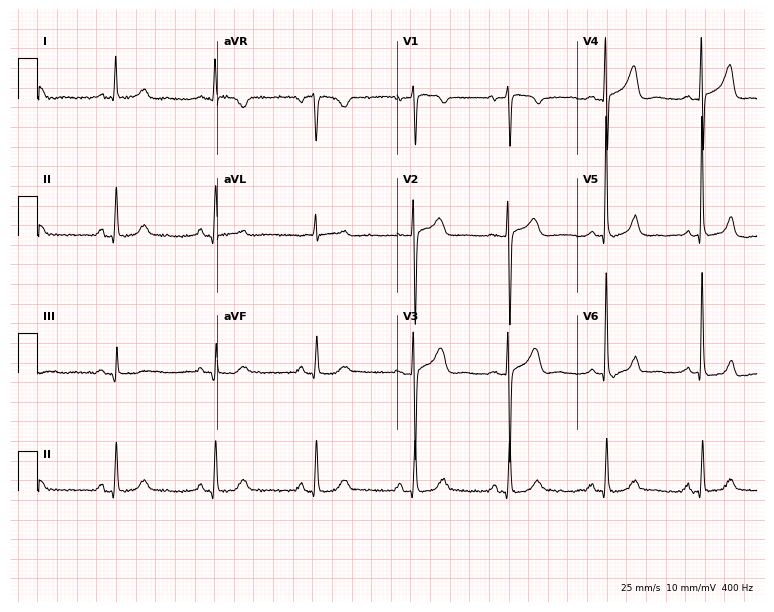
Resting 12-lead electrocardiogram. Patient: a female, 69 years old. None of these six findings is recorded: first-degree AV block, right bundle branch block, left bundle branch block, sinus bradycardia, atrial fibrillation, sinus tachycardia. Other findings, if any, are not listed.